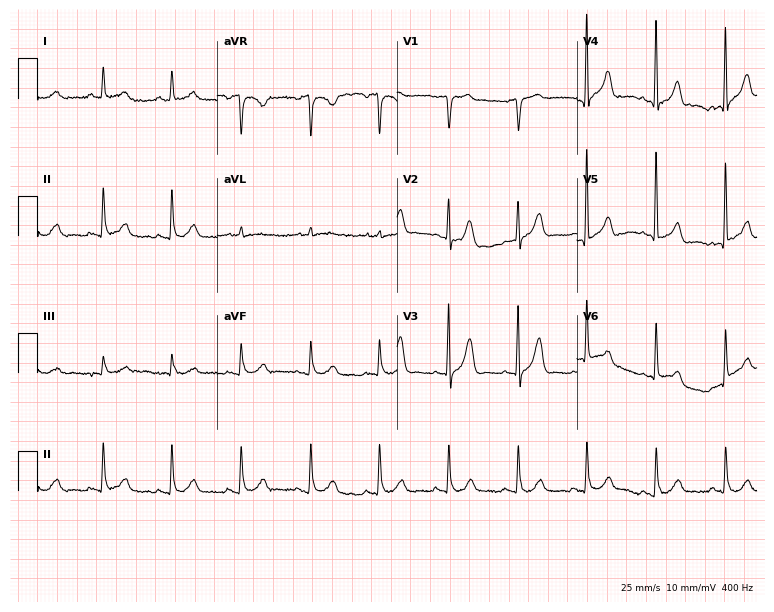
12-lead ECG (7.3-second recording at 400 Hz) from a 76-year-old female patient. Labelled as a normal ECG.